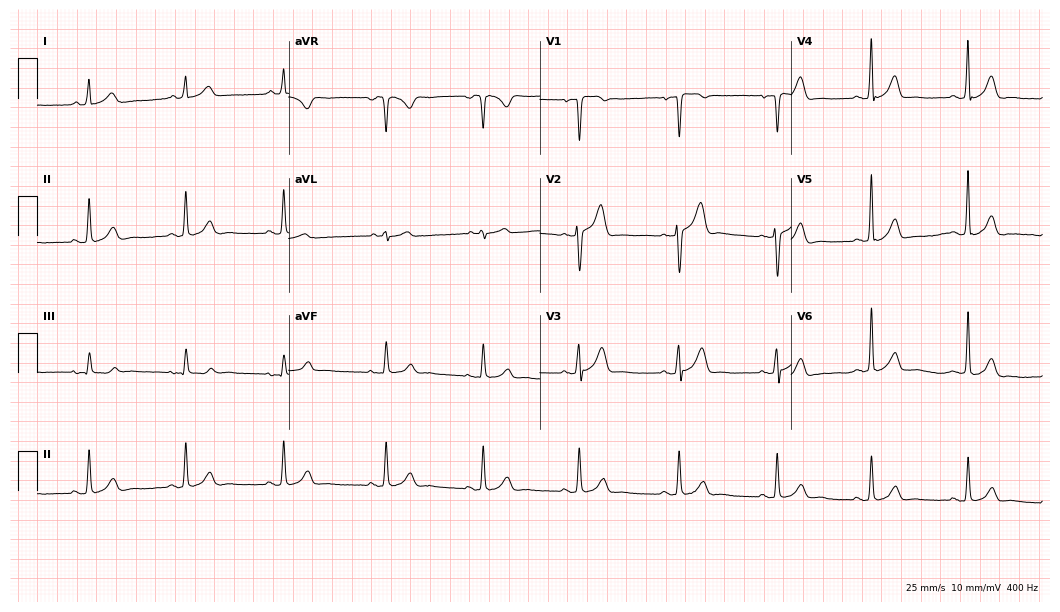
ECG (10.2-second recording at 400 Hz) — a 46-year-old man. Labelled as a normal ECG.